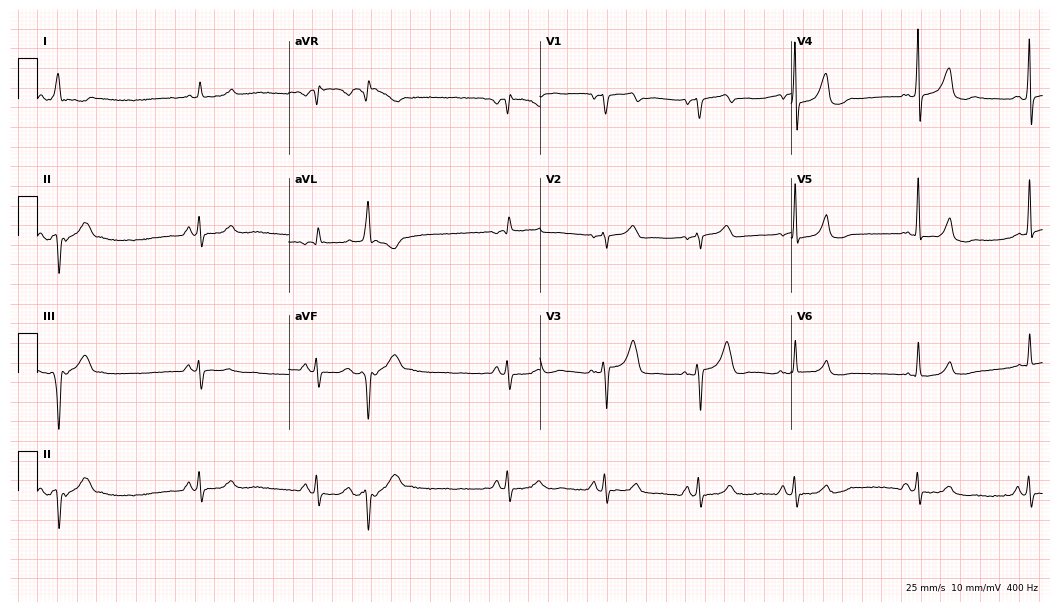
ECG (10.2-second recording at 400 Hz) — a 66-year-old man. Screened for six findings — first-degree AV block, right bundle branch block, left bundle branch block, sinus bradycardia, atrial fibrillation, sinus tachycardia — none is recorded. Other findings, if any, are not listed.